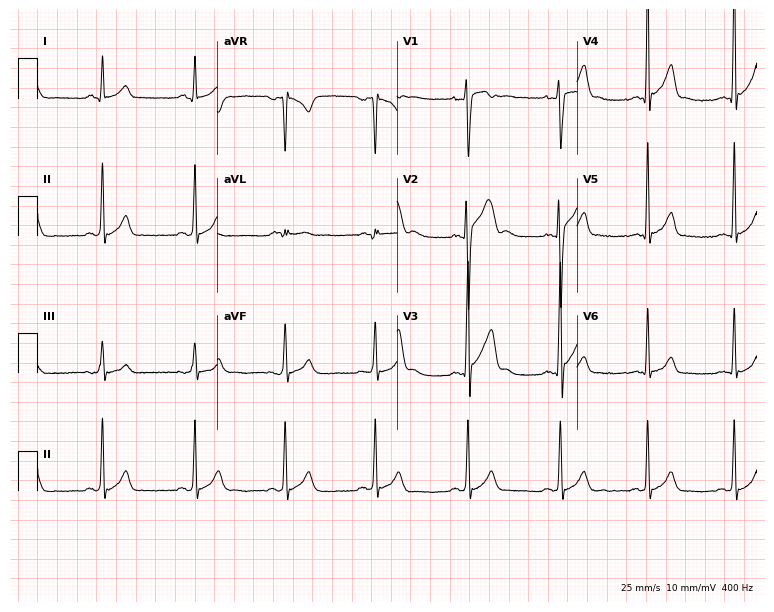
12-lead ECG from a 19-year-old male (7.3-second recording at 400 Hz). Recorded interpretation: within normal limits.